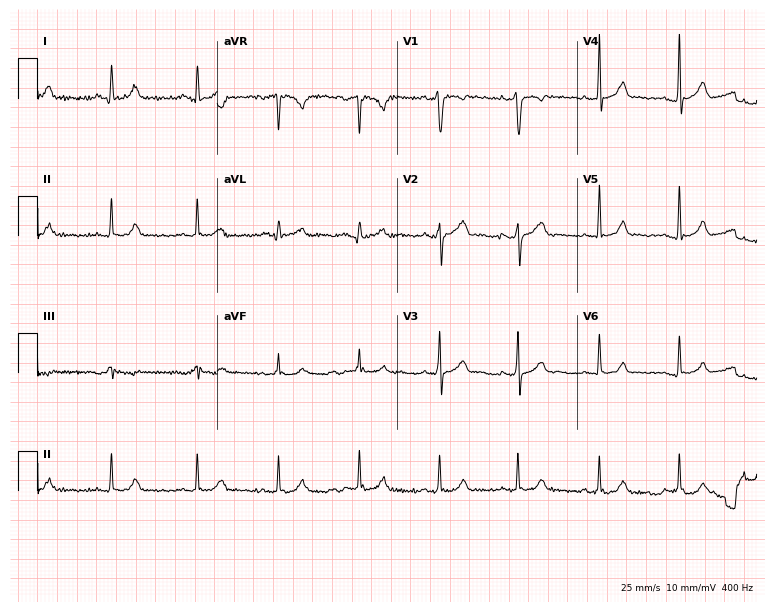
12-lead ECG from a female patient, 20 years old. Screened for six findings — first-degree AV block, right bundle branch block, left bundle branch block, sinus bradycardia, atrial fibrillation, sinus tachycardia — none is recorded.